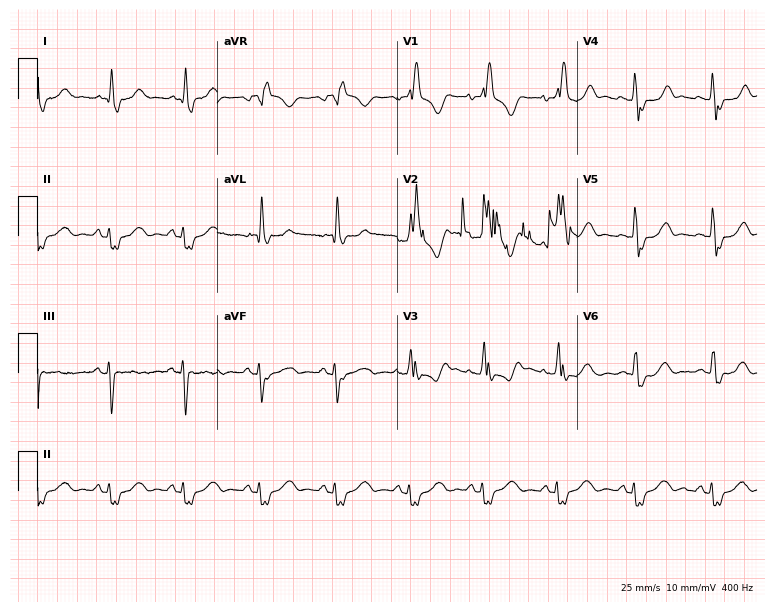
ECG — a woman, 66 years old. Findings include right bundle branch block.